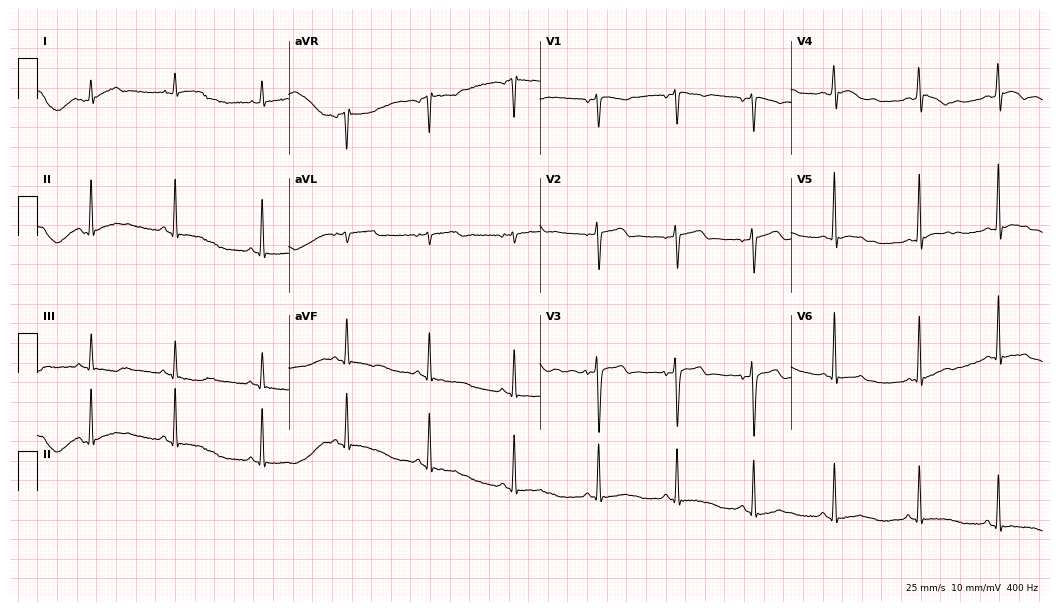
Electrocardiogram (10.2-second recording at 400 Hz), a male patient, 21 years old. Of the six screened findings (first-degree AV block, right bundle branch block (RBBB), left bundle branch block (LBBB), sinus bradycardia, atrial fibrillation (AF), sinus tachycardia), none is recorded.